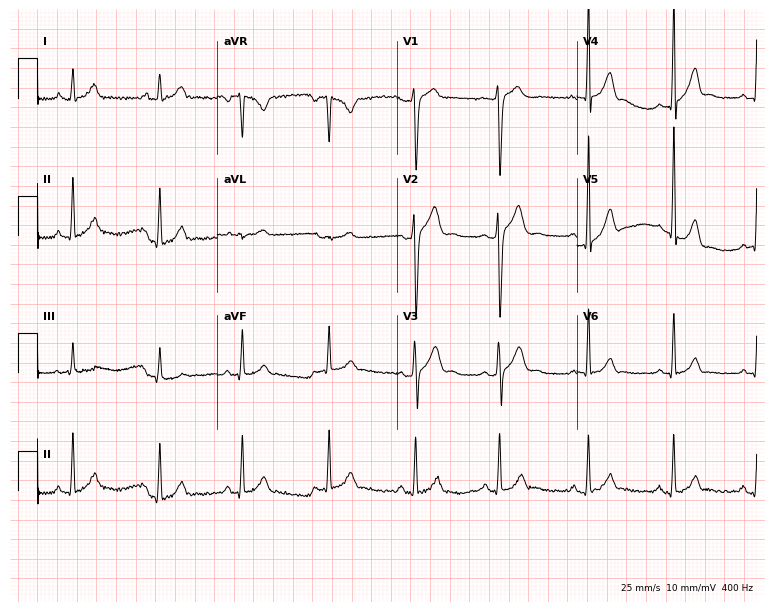
12-lead ECG (7.3-second recording at 400 Hz) from a male patient, 22 years old. Labelled as a normal ECG.